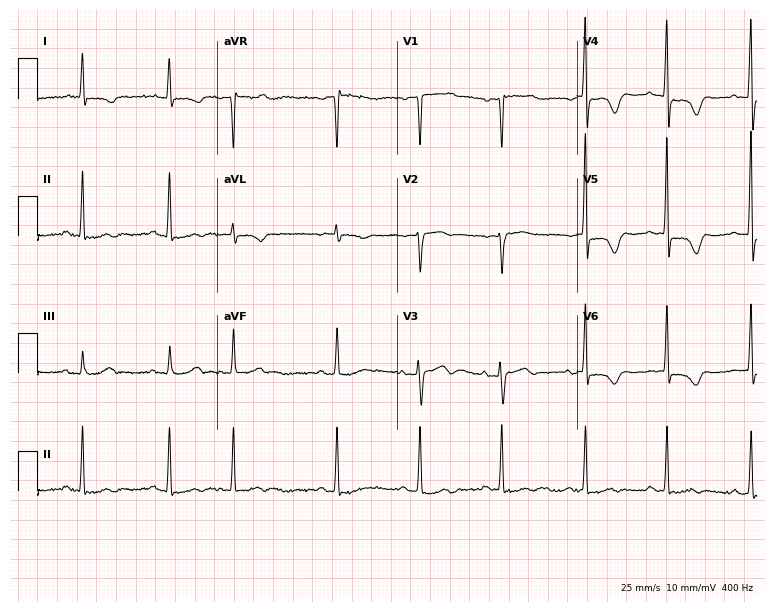
Standard 12-lead ECG recorded from a female patient, 81 years old. None of these six findings is recorded: first-degree AV block, right bundle branch block (RBBB), left bundle branch block (LBBB), sinus bradycardia, atrial fibrillation (AF), sinus tachycardia. Findings outside these six are not listed.